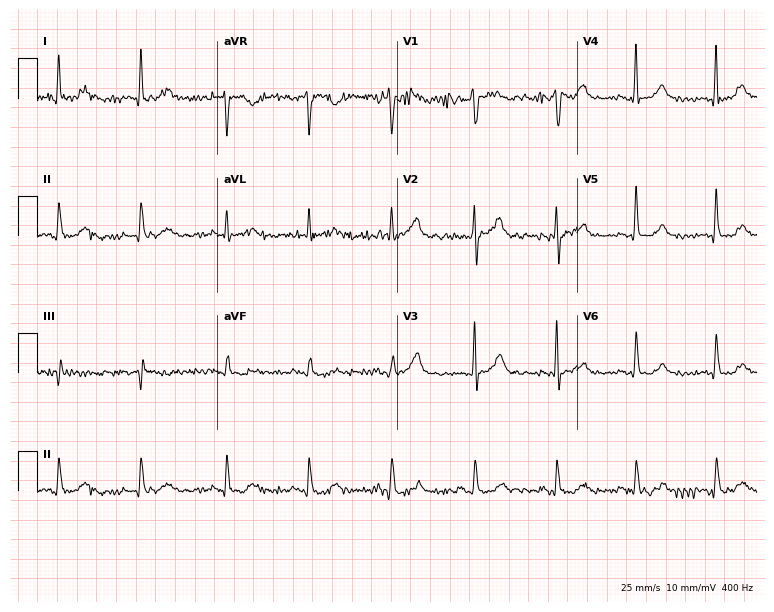
ECG — a male, 71 years old. Labelled as a normal ECG.